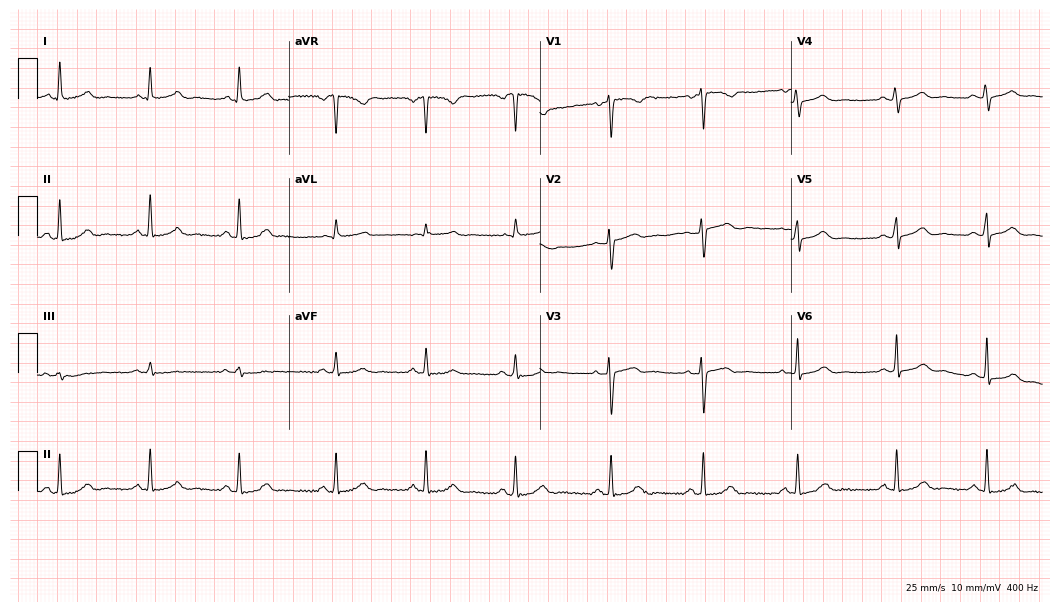
12-lead ECG from a 33-year-old female patient (10.2-second recording at 400 Hz). Recorded interpretation: within normal limits.